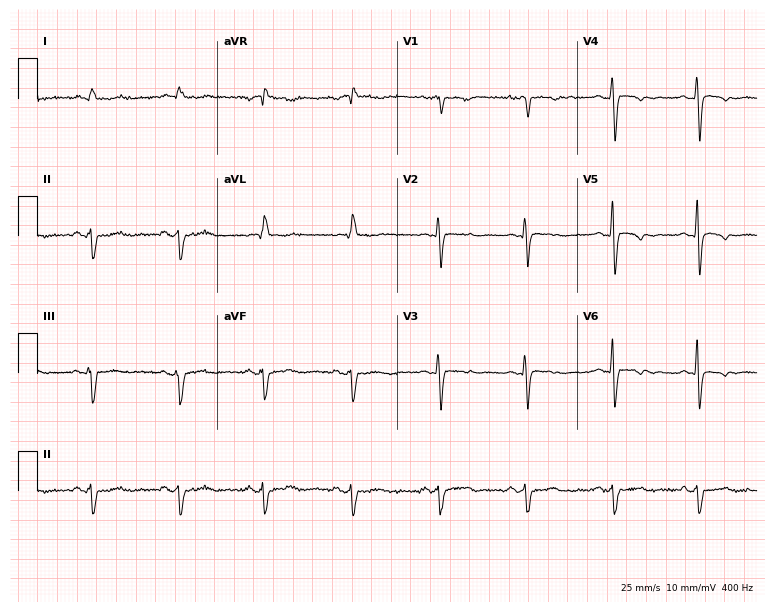
Standard 12-lead ECG recorded from a female, 37 years old. None of these six findings is recorded: first-degree AV block, right bundle branch block, left bundle branch block, sinus bradycardia, atrial fibrillation, sinus tachycardia. Findings outside these six are not listed.